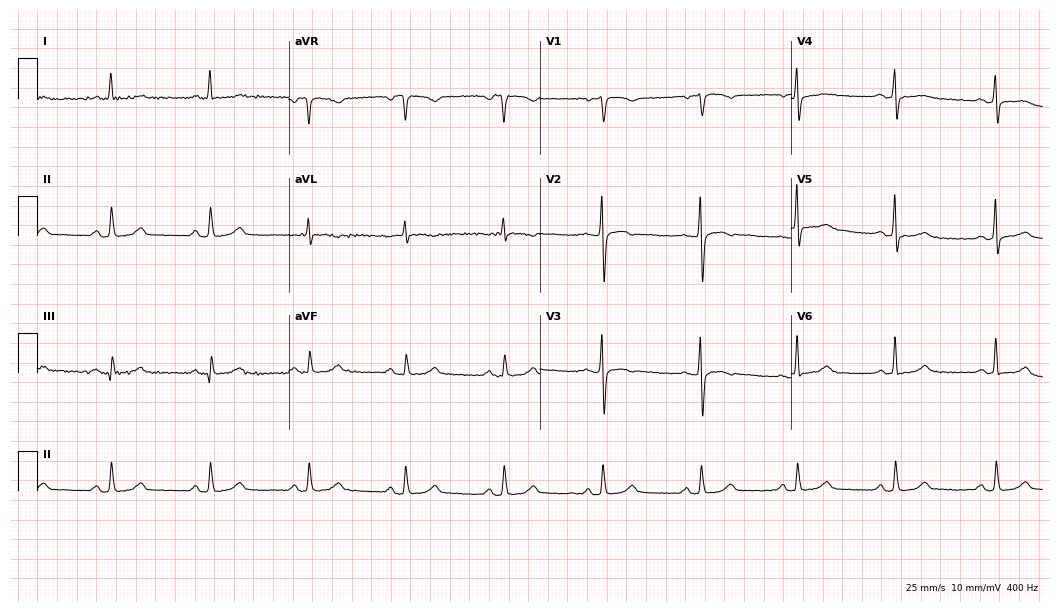
ECG — a female patient, 56 years old. Screened for six findings — first-degree AV block, right bundle branch block, left bundle branch block, sinus bradycardia, atrial fibrillation, sinus tachycardia — none is recorded.